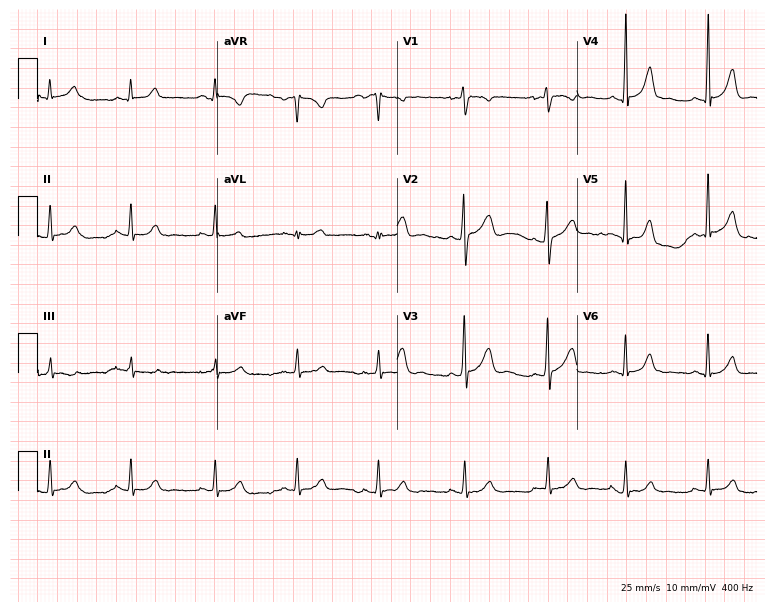
Electrocardiogram, a 29-year-old woman. Of the six screened findings (first-degree AV block, right bundle branch block, left bundle branch block, sinus bradycardia, atrial fibrillation, sinus tachycardia), none is recorded. Findings outside these six are not listed.